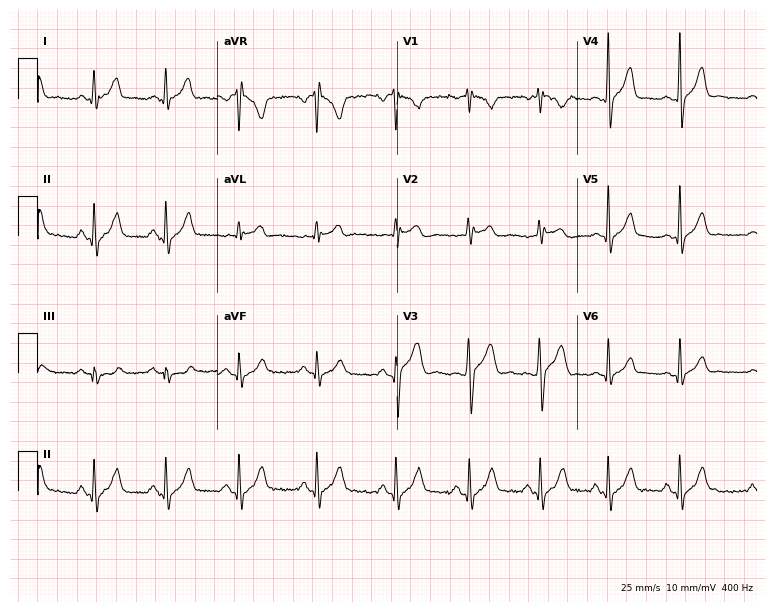
Standard 12-lead ECG recorded from a male patient, 20 years old. Read as a normal ECG.